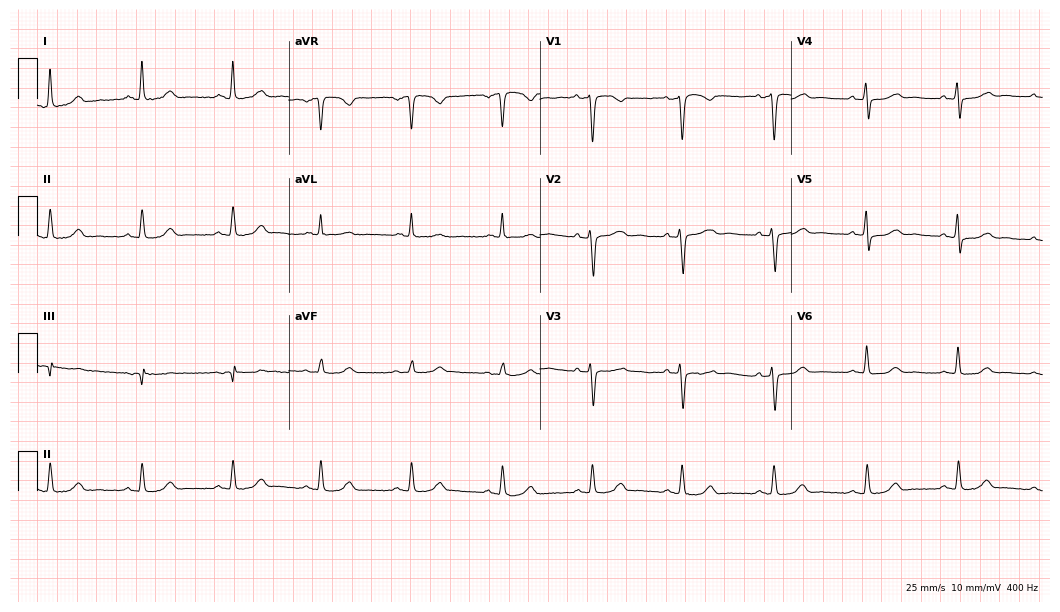
Electrocardiogram, a 52-year-old female patient. Overall reading on record: normal ECG.